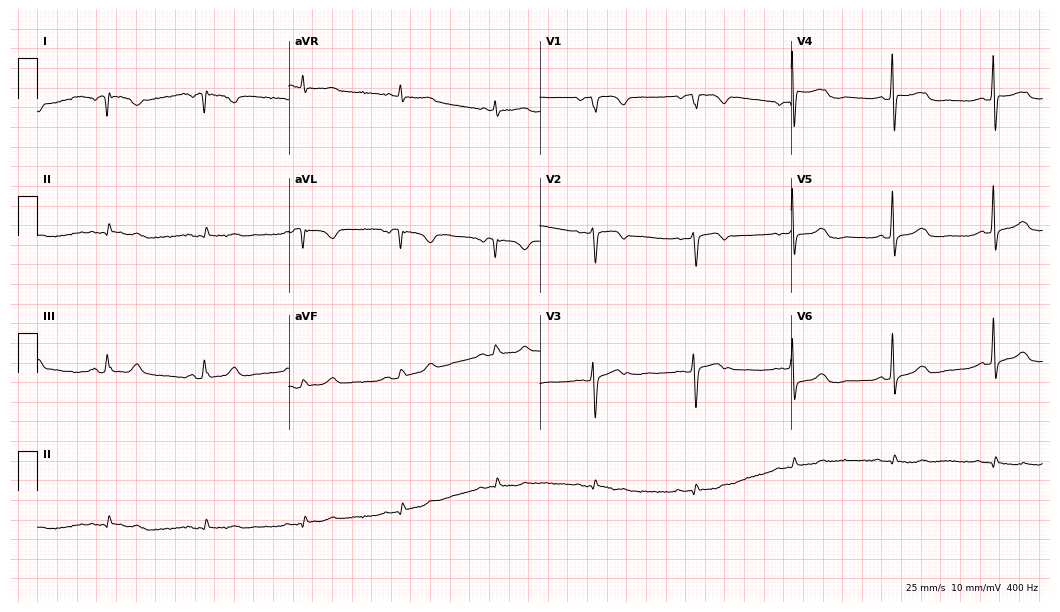
ECG (10.2-second recording at 400 Hz) — a female patient, 77 years old. Screened for six findings — first-degree AV block, right bundle branch block, left bundle branch block, sinus bradycardia, atrial fibrillation, sinus tachycardia — none is recorded.